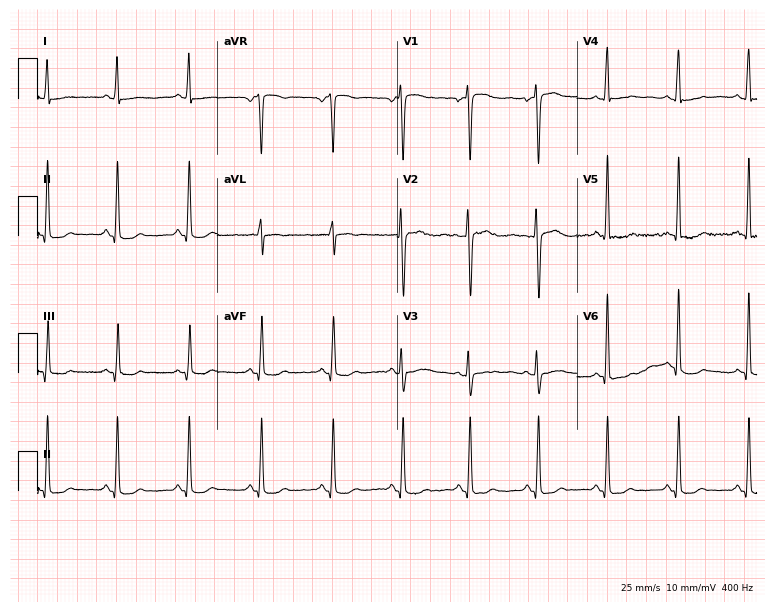
ECG (7.3-second recording at 400 Hz) — a female patient, 30 years old. Labelled as a normal ECG.